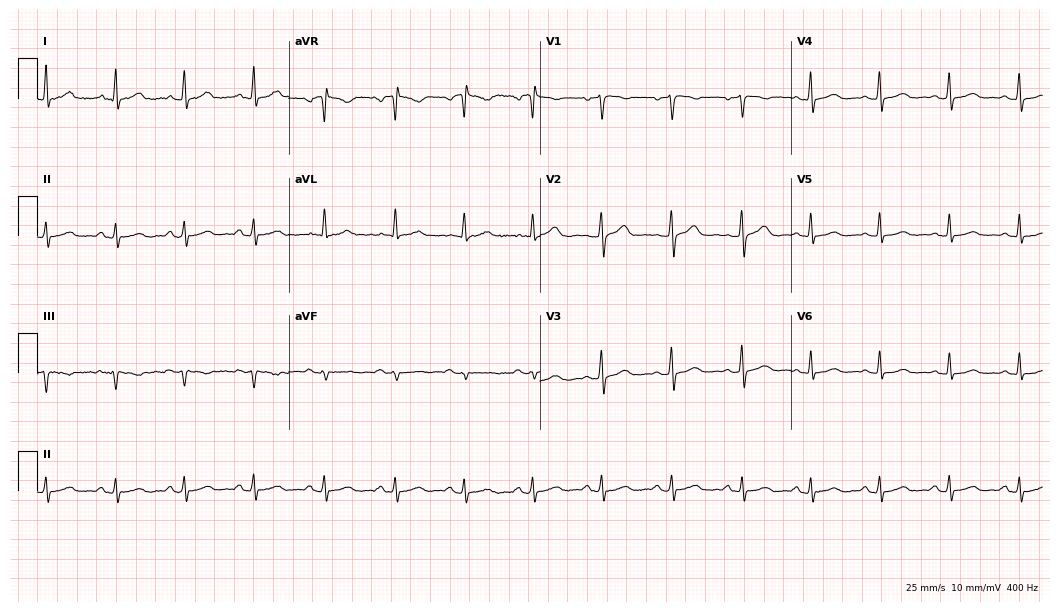
ECG (10.2-second recording at 400 Hz) — a female, 47 years old. Screened for six findings — first-degree AV block, right bundle branch block, left bundle branch block, sinus bradycardia, atrial fibrillation, sinus tachycardia — none is recorded. Only these six findings were labelled.